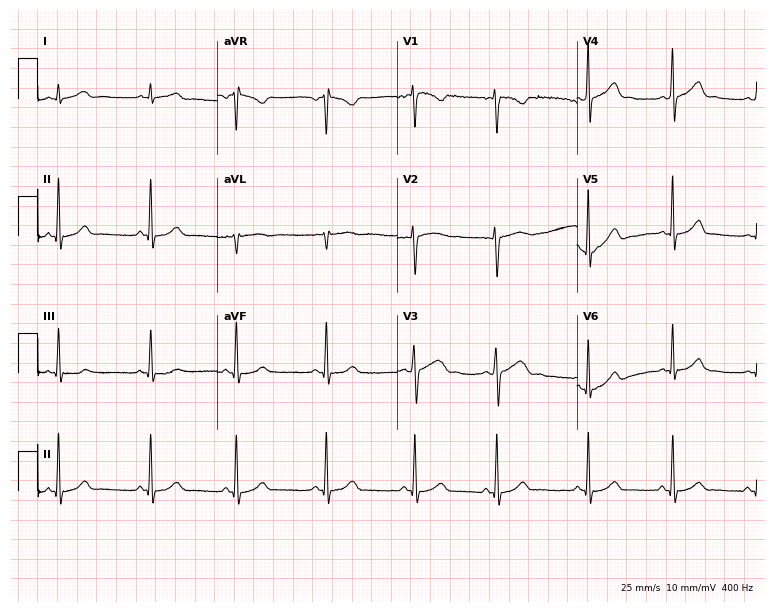
Resting 12-lead electrocardiogram. Patient: a 34-year-old female. None of these six findings is recorded: first-degree AV block, right bundle branch block, left bundle branch block, sinus bradycardia, atrial fibrillation, sinus tachycardia.